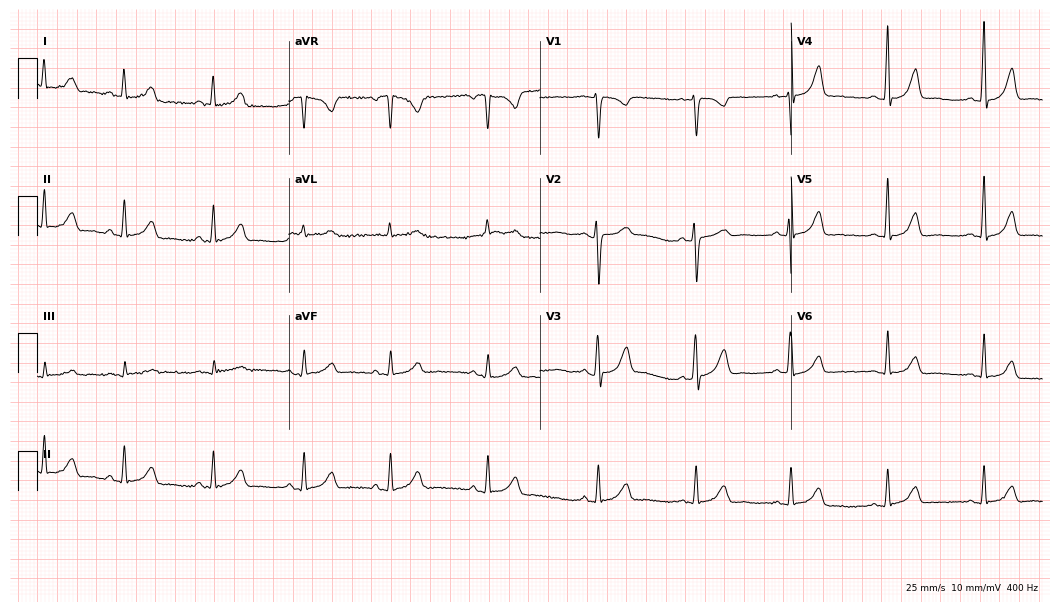
Standard 12-lead ECG recorded from a 32-year-old female (10.2-second recording at 400 Hz). Read as a normal ECG.